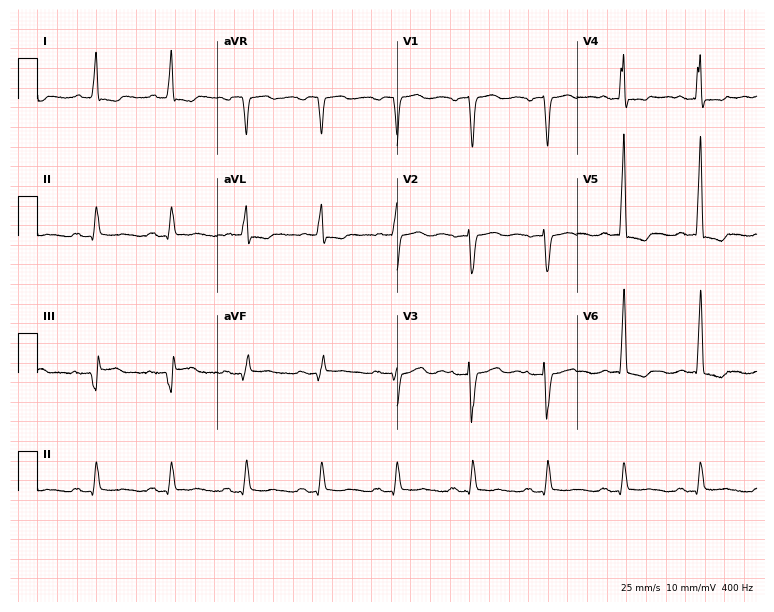
12-lead ECG from a woman, 78 years old (7.3-second recording at 400 Hz). No first-degree AV block, right bundle branch block (RBBB), left bundle branch block (LBBB), sinus bradycardia, atrial fibrillation (AF) or sinus tachycardia recorded for this tracing.